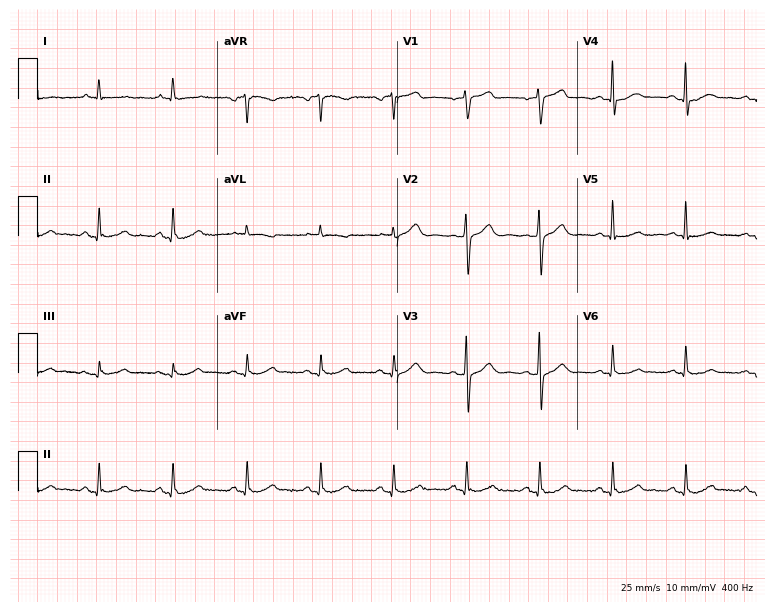
12-lead ECG from a man, 63 years old. Screened for six findings — first-degree AV block, right bundle branch block, left bundle branch block, sinus bradycardia, atrial fibrillation, sinus tachycardia — none is recorded. Findings outside these six are not listed.